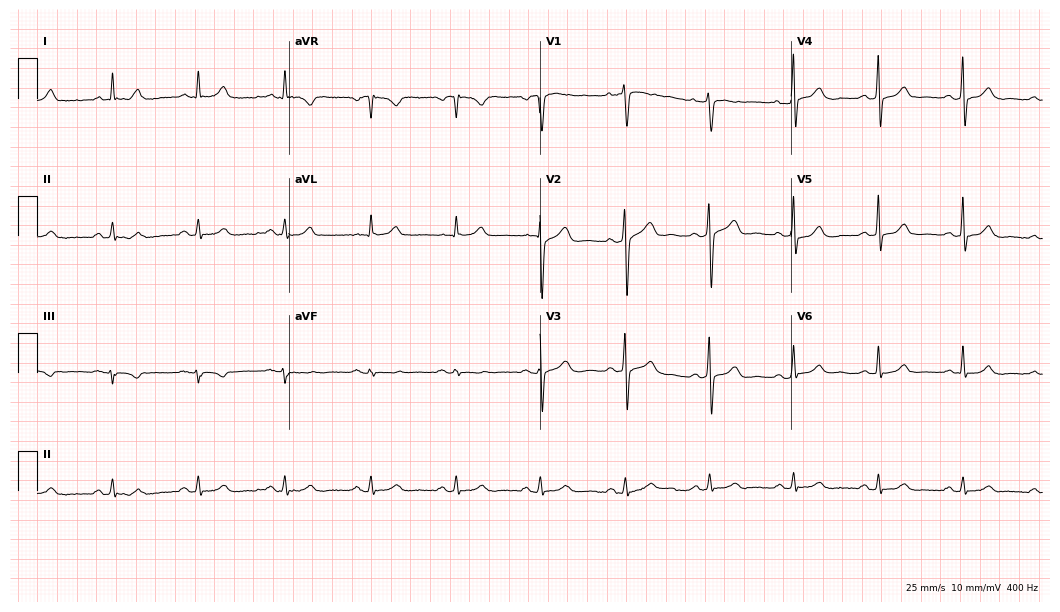
12-lead ECG from a male patient, 65 years old. Recorded interpretation: within normal limits.